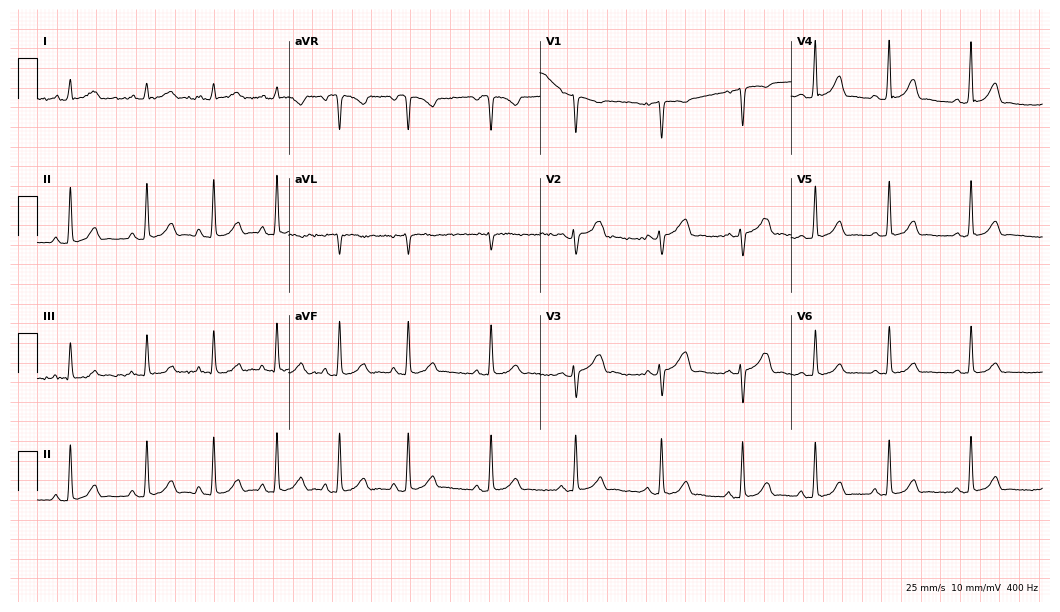
ECG — a 20-year-old female patient. Screened for six findings — first-degree AV block, right bundle branch block (RBBB), left bundle branch block (LBBB), sinus bradycardia, atrial fibrillation (AF), sinus tachycardia — none is recorded. Only these six findings were labelled.